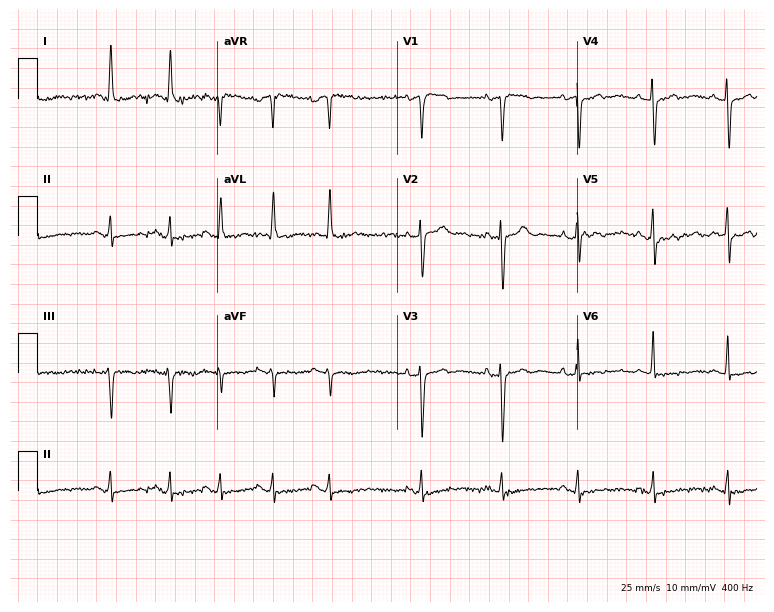
12-lead ECG from a 67-year-old woman. Screened for six findings — first-degree AV block, right bundle branch block (RBBB), left bundle branch block (LBBB), sinus bradycardia, atrial fibrillation (AF), sinus tachycardia — none is recorded.